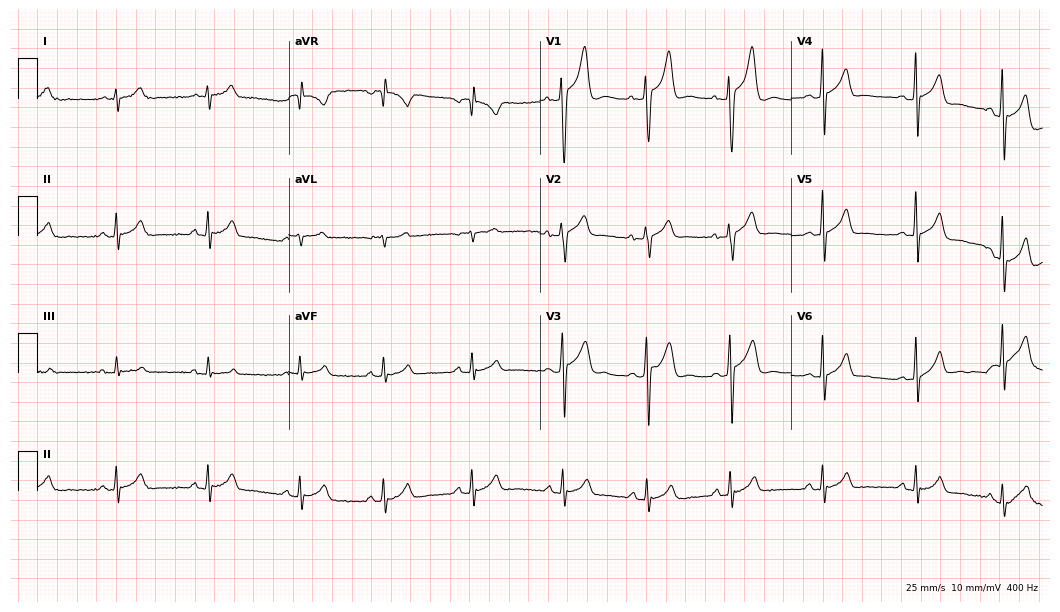
ECG — a man, 18 years old. Screened for six findings — first-degree AV block, right bundle branch block, left bundle branch block, sinus bradycardia, atrial fibrillation, sinus tachycardia — none is recorded. Findings outside these six are not listed.